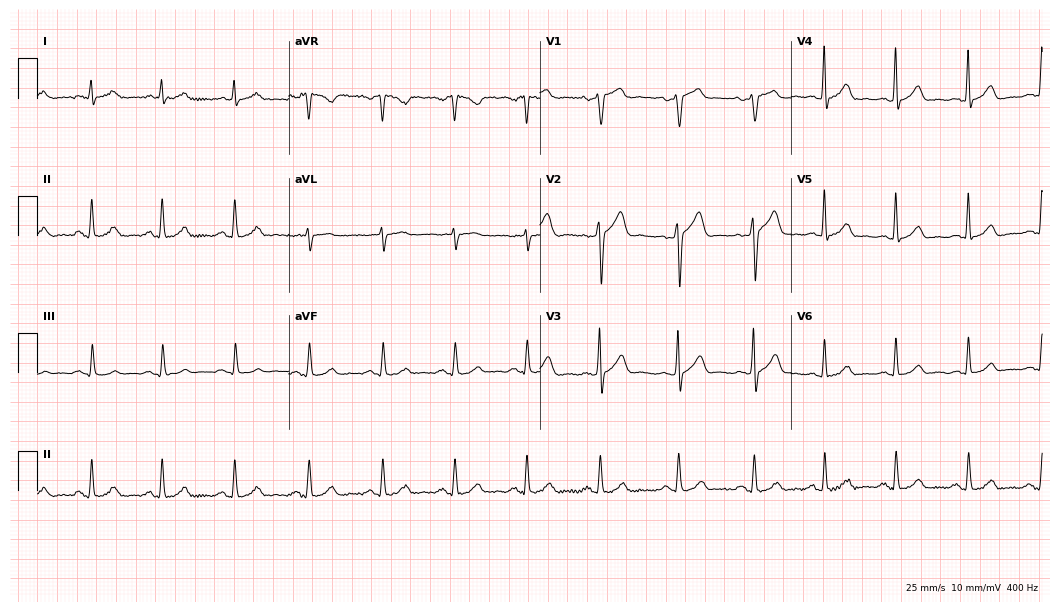
12-lead ECG from a man, 42 years old. Labelled as a normal ECG.